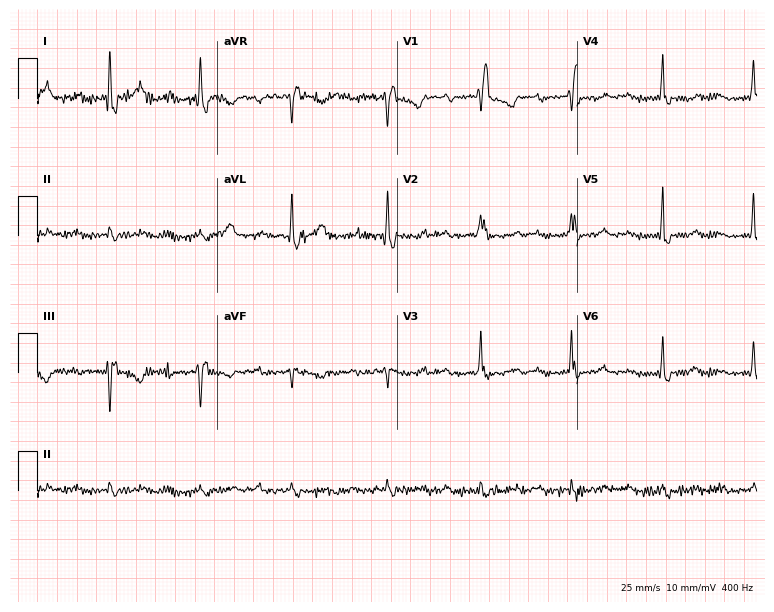
Resting 12-lead electrocardiogram. Patient: a female, 70 years old. None of these six findings is recorded: first-degree AV block, right bundle branch block, left bundle branch block, sinus bradycardia, atrial fibrillation, sinus tachycardia.